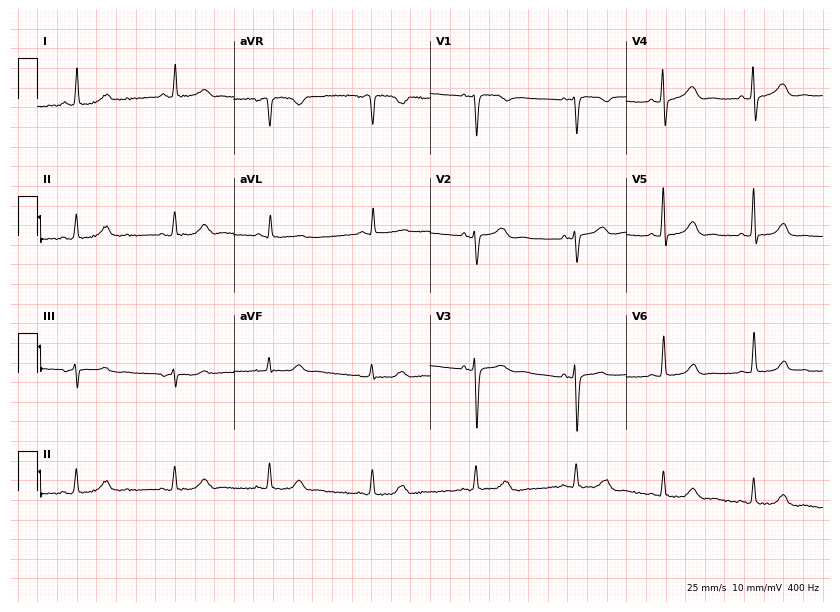
ECG — a 60-year-old female. Labelled as a normal ECG.